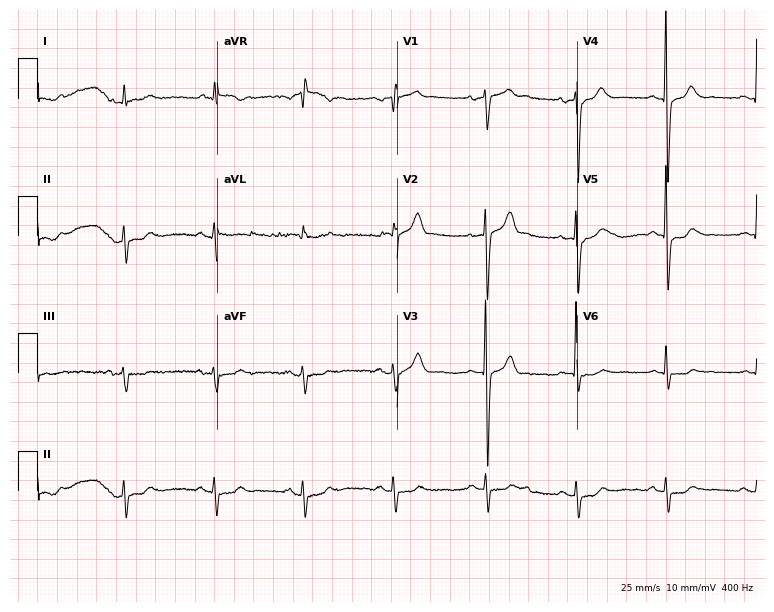
ECG (7.3-second recording at 400 Hz) — a male patient, 63 years old. Screened for six findings — first-degree AV block, right bundle branch block, left bundle branch block, sinus bradycardia, atrial fibrillation, sinus tachycardia — none is recorded. Other findings, if any, are not listed.